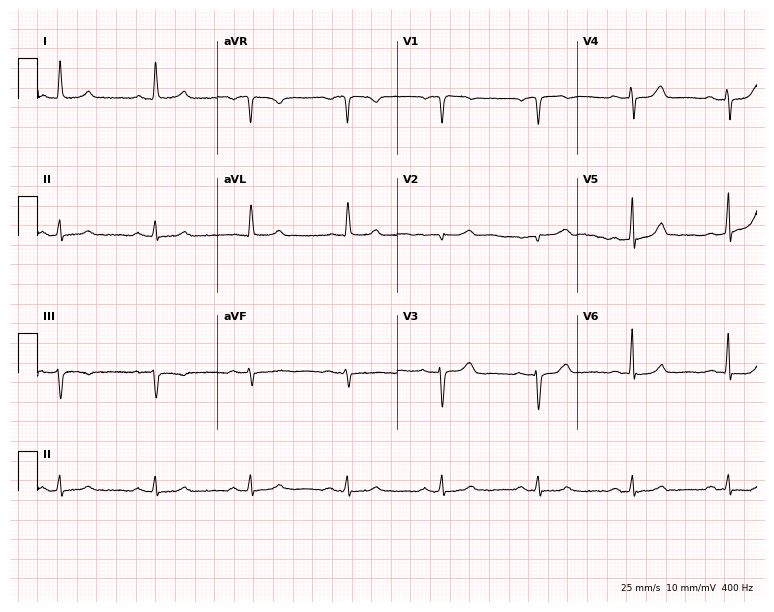
Resting 12-lead electrocardiogram (7.3-second recording at 400 Hz). Patient: a 79-year-old female. None of these six findings is recorded: first-degree AV block, right bundle branch block, left bundle branch block, sinus bradycardia, atrial fibrillation, sinus tachycardia.